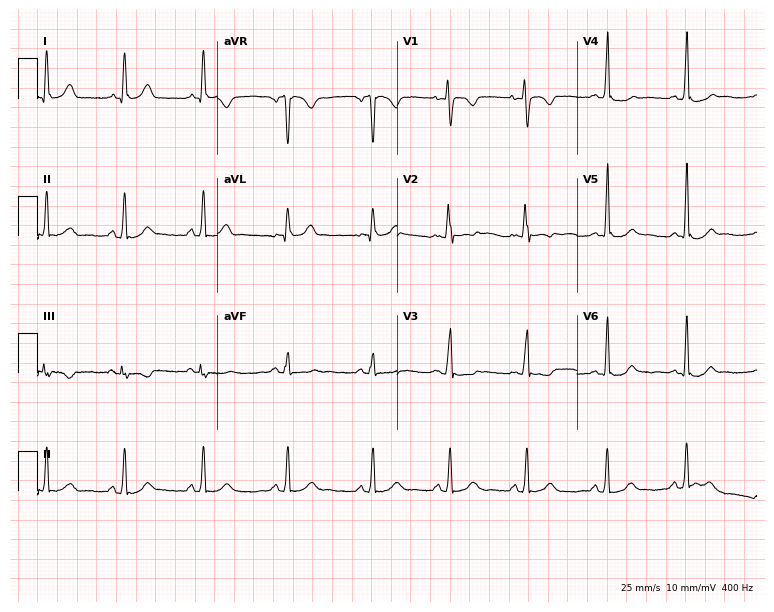
12-lead ECG from a 25-year-old female patient. No first-degree AV block, right bundle branch block (RBBB), left bundle branch block (LBBB), sinus bradycardia, atrial fibrillation (AF) or sinus tachycardia recorded for this tracing.